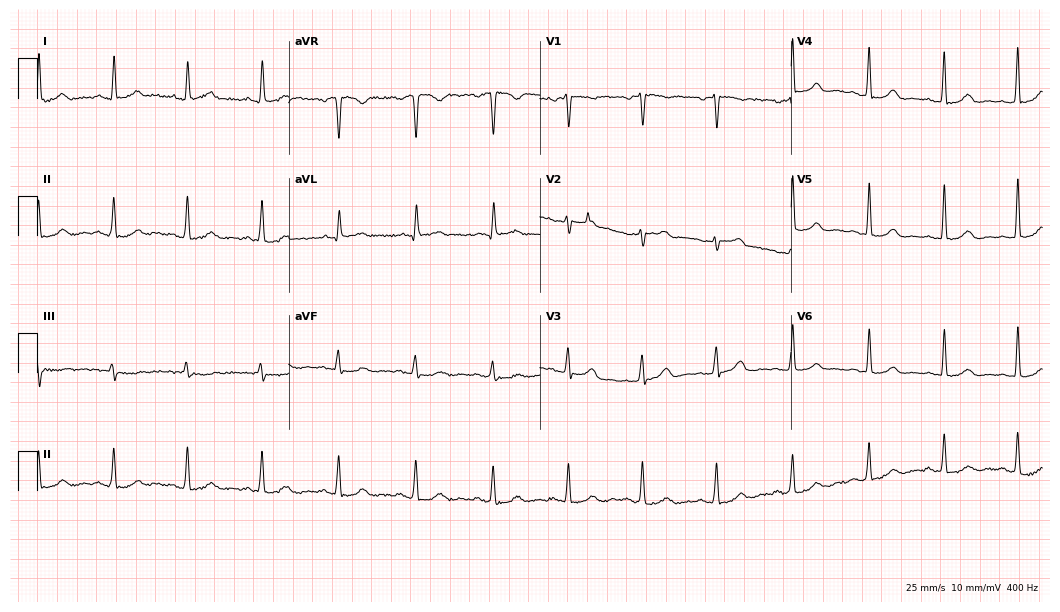
12-lead ECG (10.2-second recording at 400 Hz) from a female patient, 62 years old. Screened for six findings — first-degree AV block, right bundle branch block, left bundle branch block, sinus bradycardia, atrial fibrillation, sinus tachycardia — none is recorded.